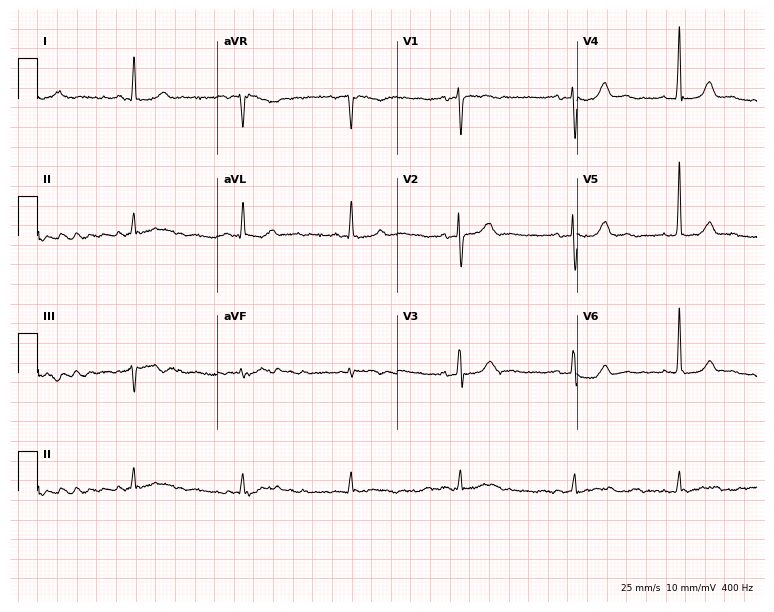
ECG (7.3-second recording at 400 Hz) — a 63-year-old female patient. Labelled as a normal ECG.